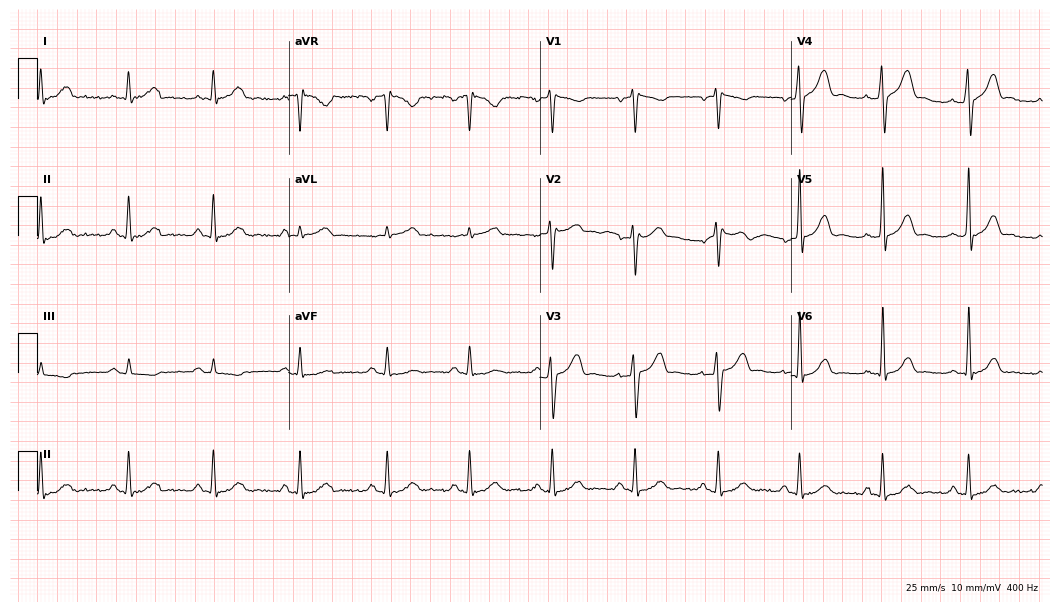
ECG — a 39-year-old male. Screened for six findings — first-degree AV block, right bundle branch block, left bundle branch block, sinus bradycardia, atrial fibrillation, sinus tachycardia — none is recorded.